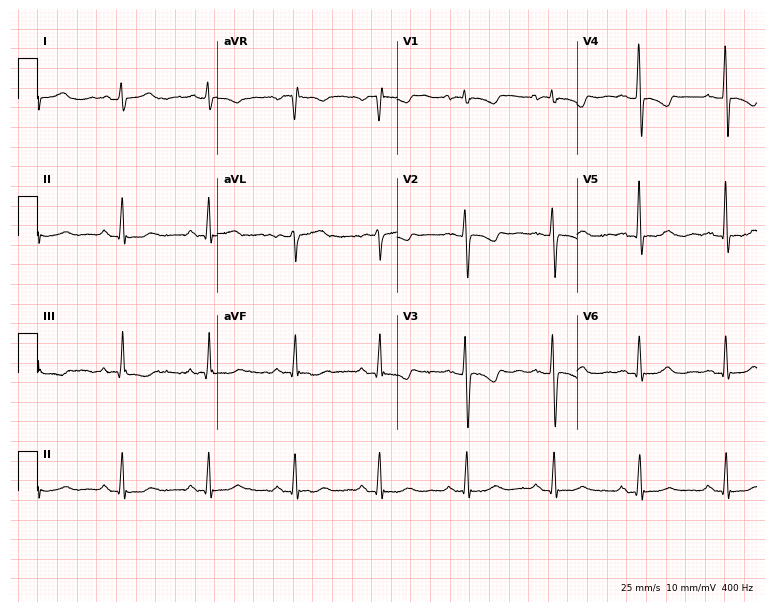
Electrocardiogram (7.3-second recording at 400 Hz), a female patient, 51 years old. Of the six screened findings (first-degree AV block, right bundle branch block, left bundle branch block, sinus bradycardia, atrial fibrillation, sinus tachycardia), none is recorded. Findings outside these six are not listed.